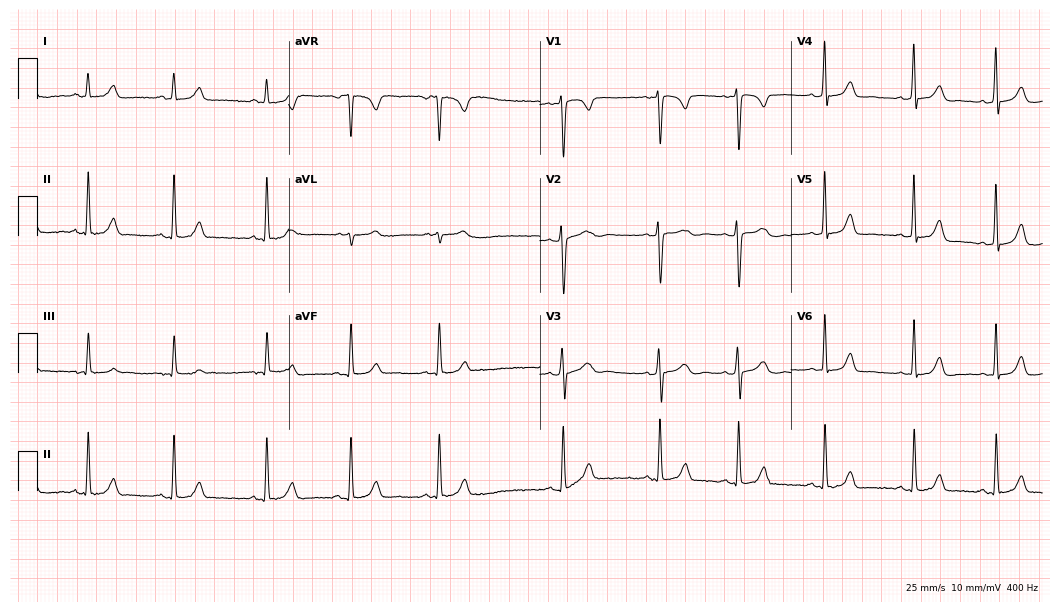
Standard 12-lead ECG recorded from a female patient, 17 years old (10.2-second recording at 400 Hz). None of these six findings is recorded: first-degree AV block, right bundle branch block (RBBB), left bundle branch block (LBBB), sinus bradycardia, atrial fibrillation (AF), sinus tachycardia. Only these six findings were labelled.